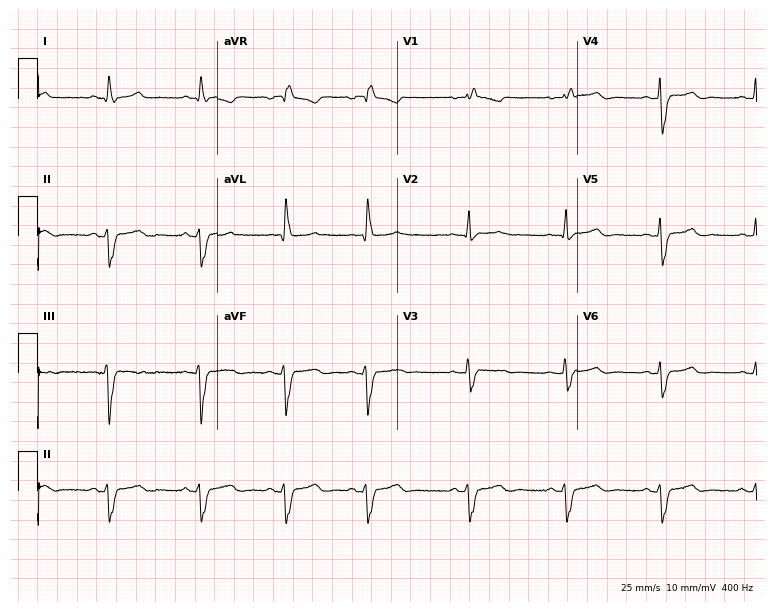
ECG (7.3-second recording at 400 Hz) — a 47-year-old female. Findings include right bundle branch block.